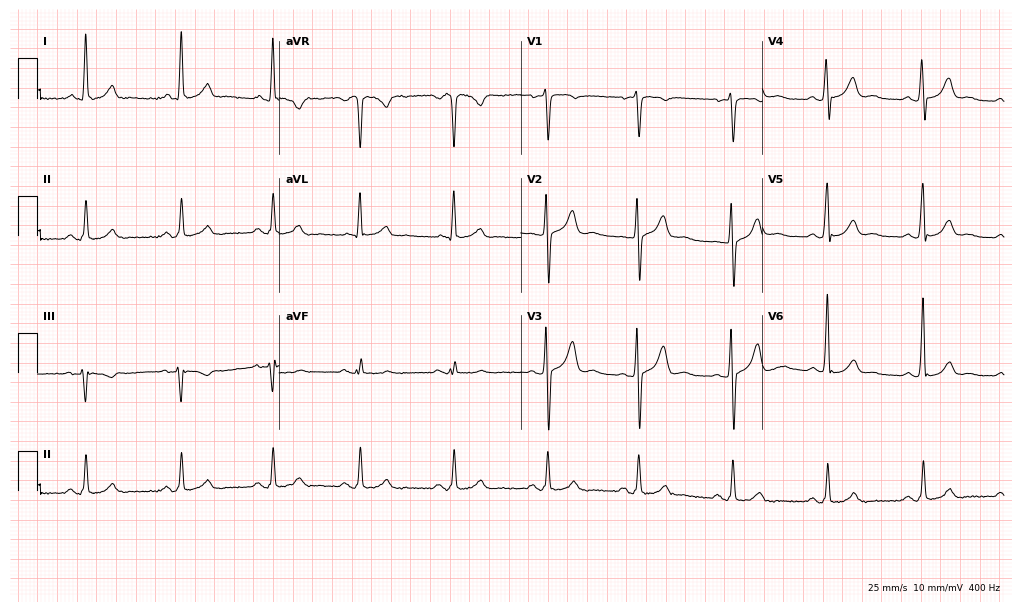
Resting 12-lead electrocardiogram (9.9-second recording at 400 Hz). Patient: a male, 41 years old. Read as a normal ECG.